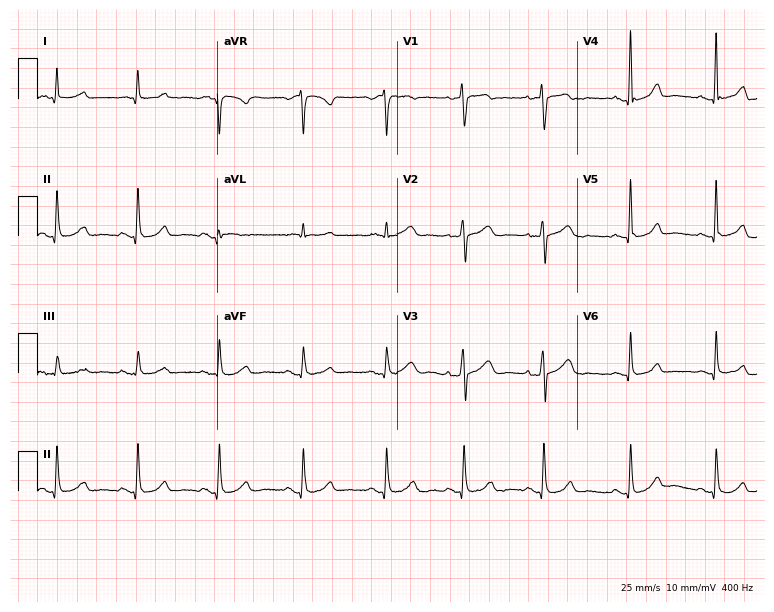
12-lead ECG from a 37-year-old female (7.3-second recording at 400 Hz). Recorded interpretation: within normal limits.